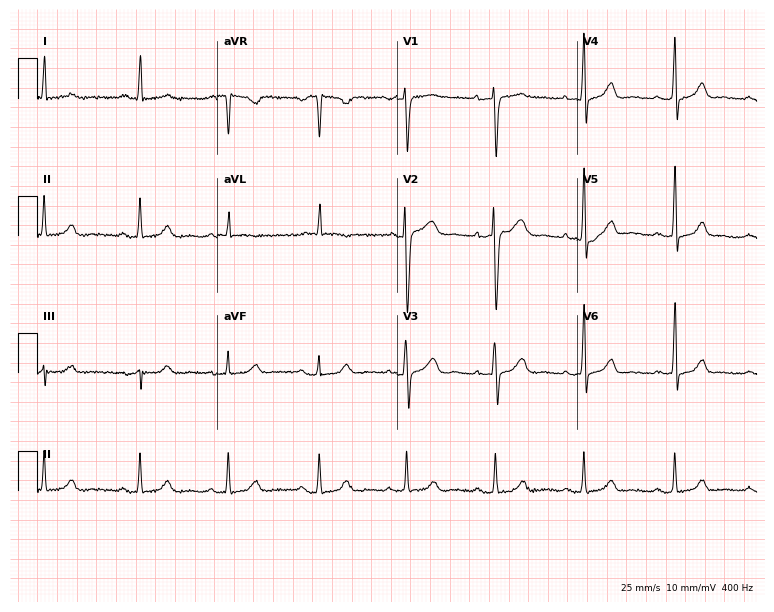
12-lead ECG from a female, 24 years old. No first-degree AV block, right bundle branch block, left bundle branch block, sinus bradycardia, atrial fibrillation or sinus tachycardia recorded for this tracing.